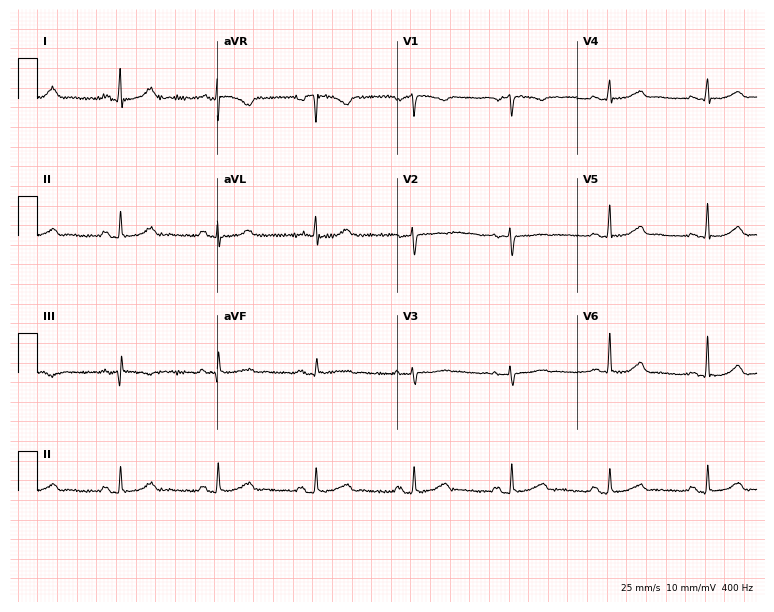
12-lead ECG from a female, 52 years old (7.3-second recording at 400 Hz). Recorded interpretation: within normal limits.